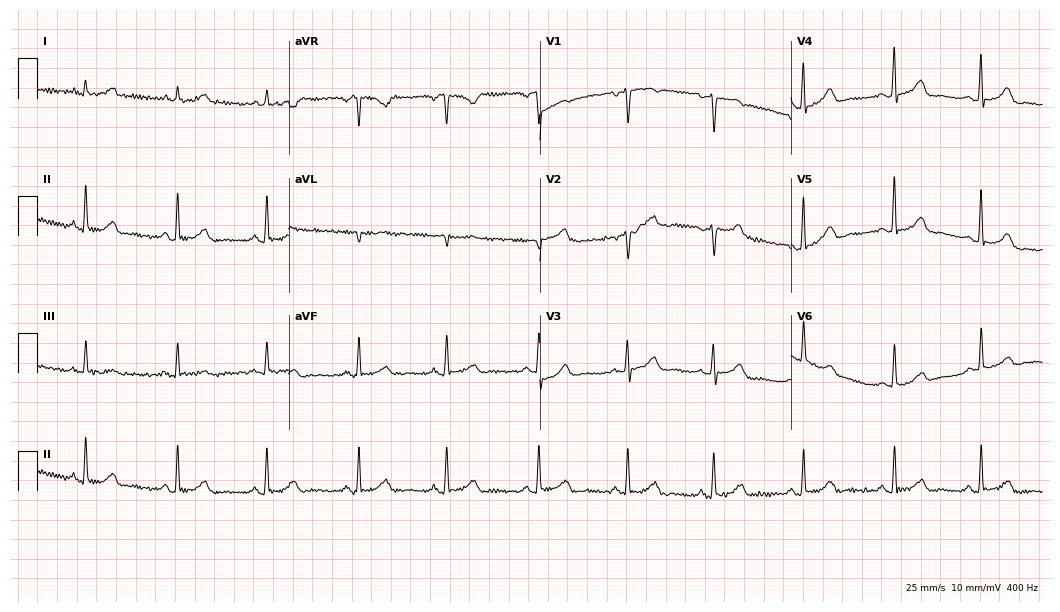
ECG — a 52-year-old woman. Labelled as a normal ECG.